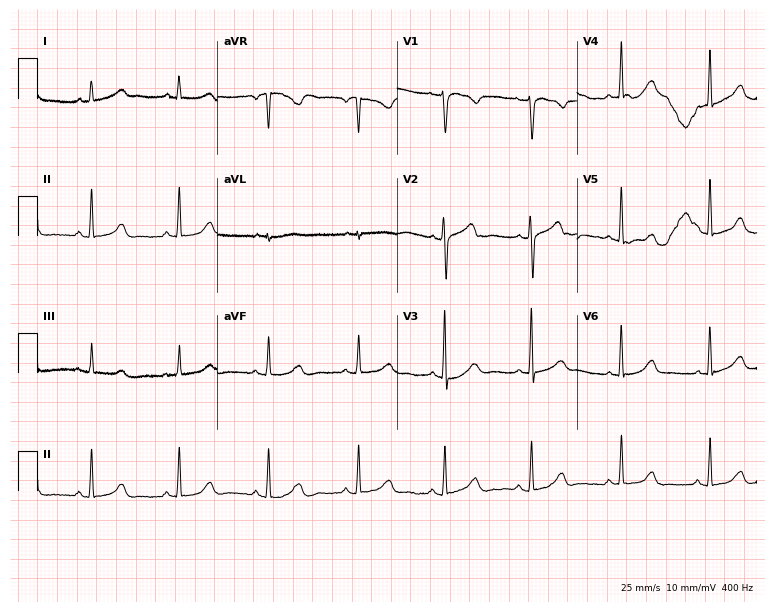
12-lead ECG from a 45-year-old female patient. Screened for six findings — first-degree AV block, right bundle branch block, left bundle branch block, sinus bradycardia, atrial fibrillation, sinus tachycardia — none is recorded. Only these six findings were labelled.